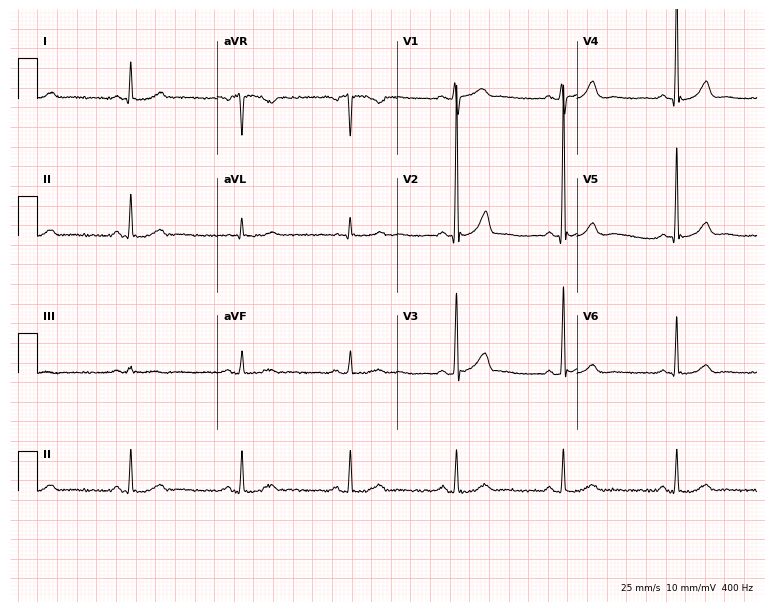
Resting 12-lead electrocardiogram. Patient: a male, 55 years old. Read as a normal ECG.